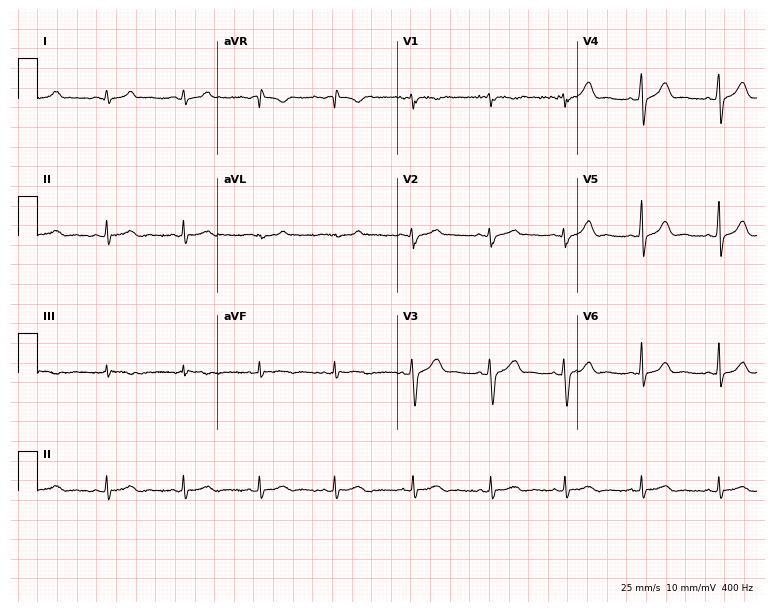
12-lead ECG from a female patient, 40 years old. Labelled as a normal ECG.